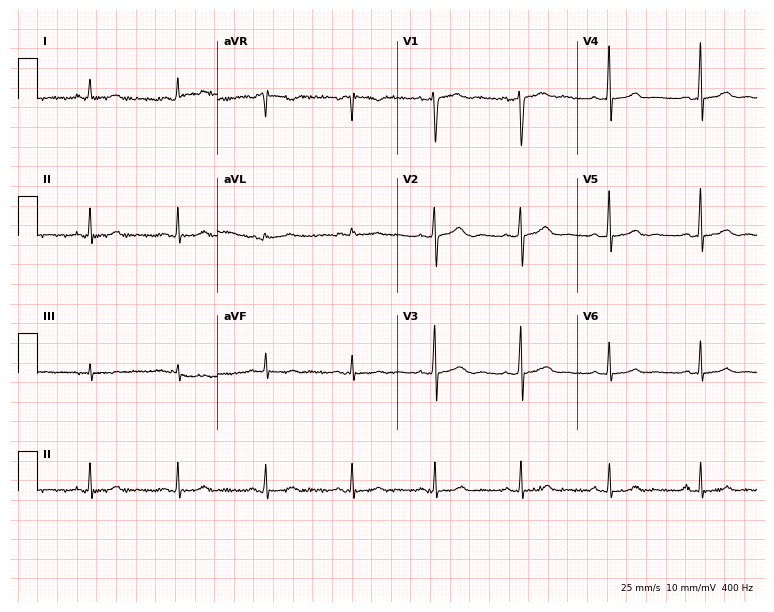
ECG — a female patient, 40 years old. Labelled as a normal ECG.